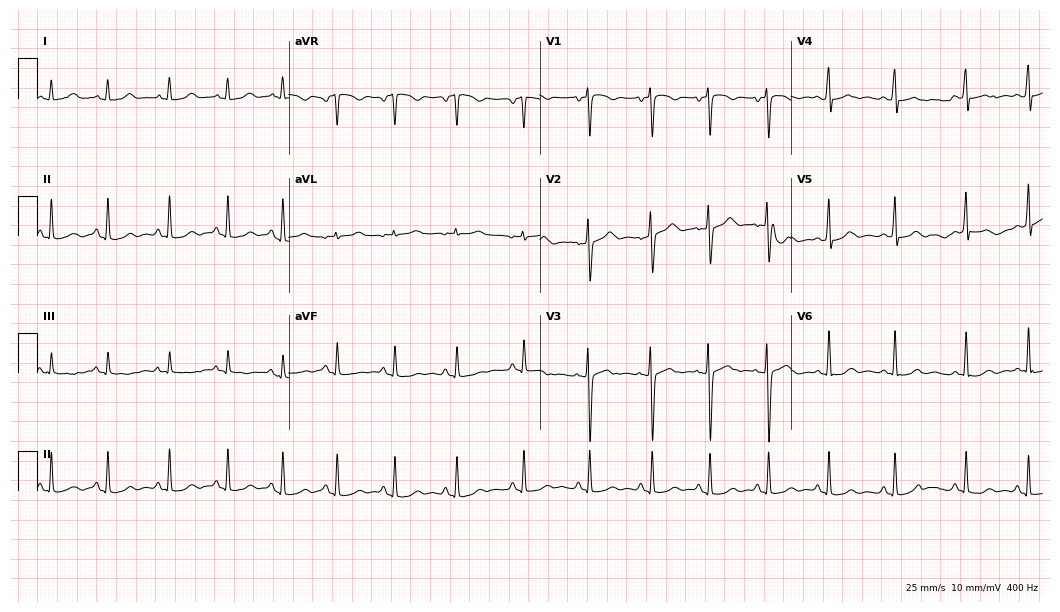
Standard 12-lead ECG recorded from a female patient, 20 years old. None of these six findings is recorded: first-degree AV block, right bundle branch block, left bundle branch block, sinus bradycardia, atrial fibrillation, sinus tachycardia. Other findings, if any, are not listed.